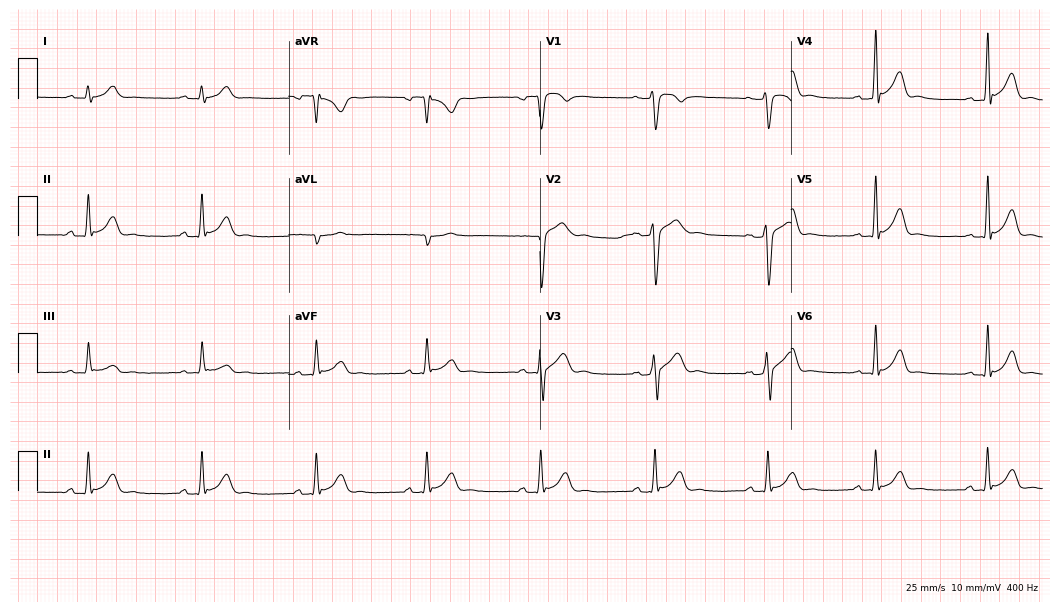
Resting 12-lead electrocardiogram (10.2-second recording at 400 Hz). Patient: a man, 27 years old. Read as a normal ECG.